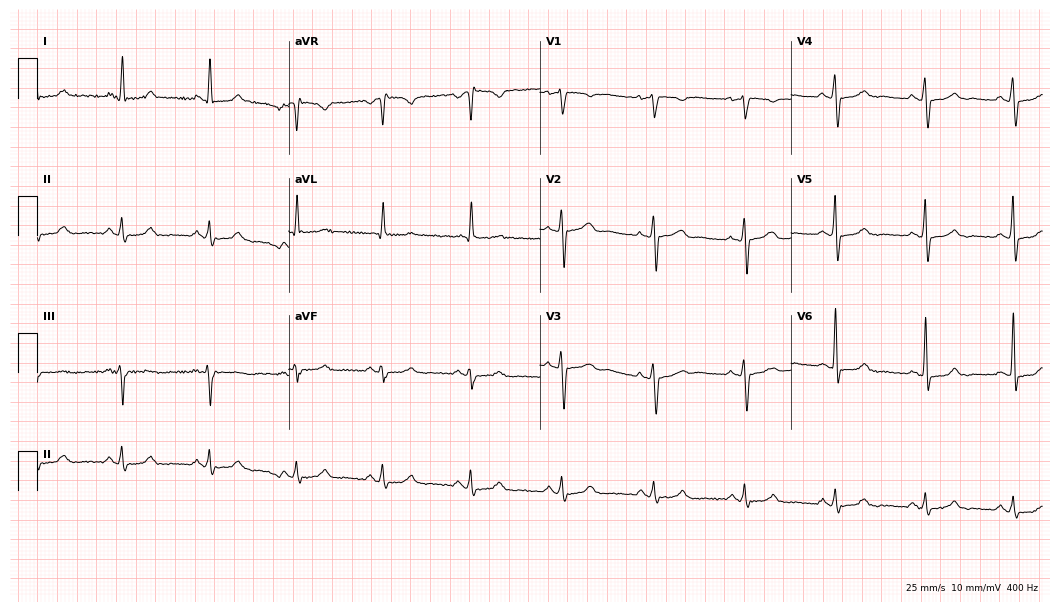
12-lead ECG (10.2-second recording at 400 Hz) from a 44-year-old female. Labelled as a normal ECG.